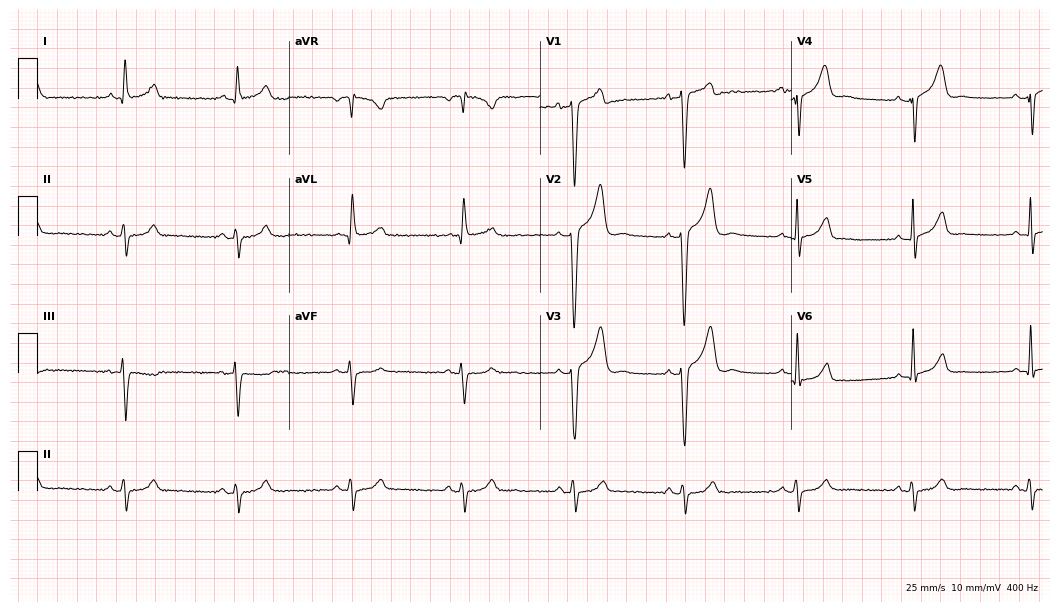
Standard 12-lead ECG recorded from a 42-year-old male patient (10.2-second recording at 400 Hz). None of these six findings is recorded: first-degree AV block, right bundle branch block, left bundle branch block, sinus bradycardia, atrial fibrillation, sinus tachycardia.